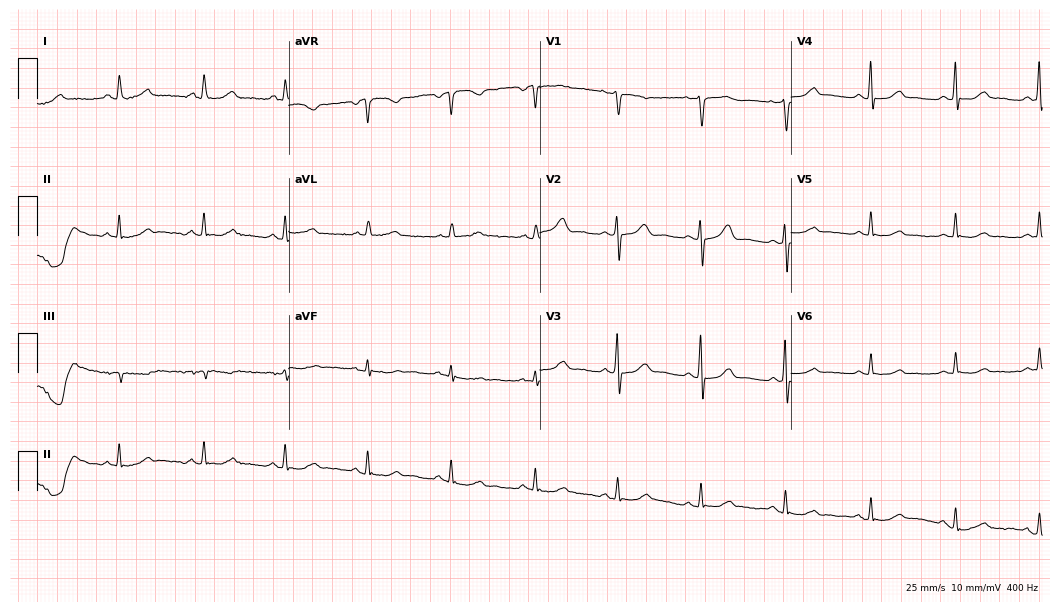
12-lead ECG (10.2-second recording at 400 Hz) from a 64-year-old woman. Labelled as a normal ECG.